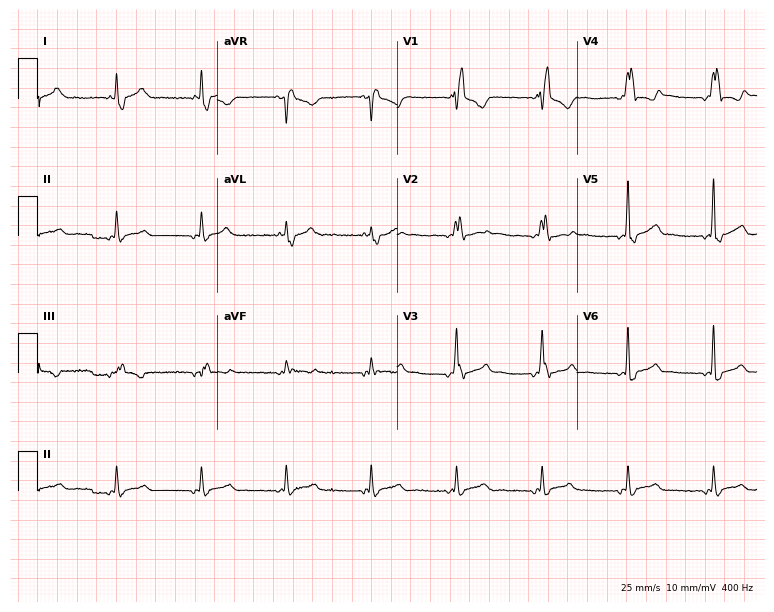
ECG (7.3-second recording at 400 Hz) — a man, 63 years old. Findings include right bundle branch block (RBBB).